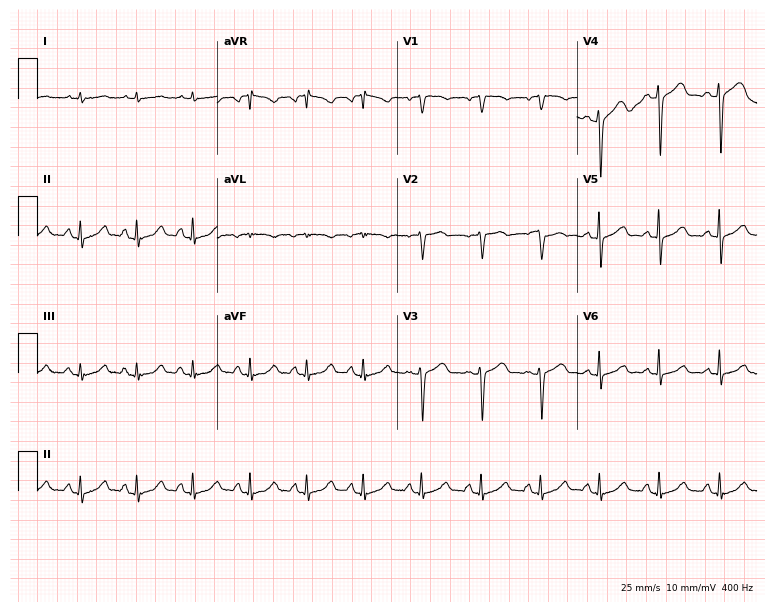
Electrocardiogram (7.3-second recording at 400 Hz), a woman, 83 years old. Interpretation includes sinus tachycardia (a sinus rate of 100 beats per minute or more).